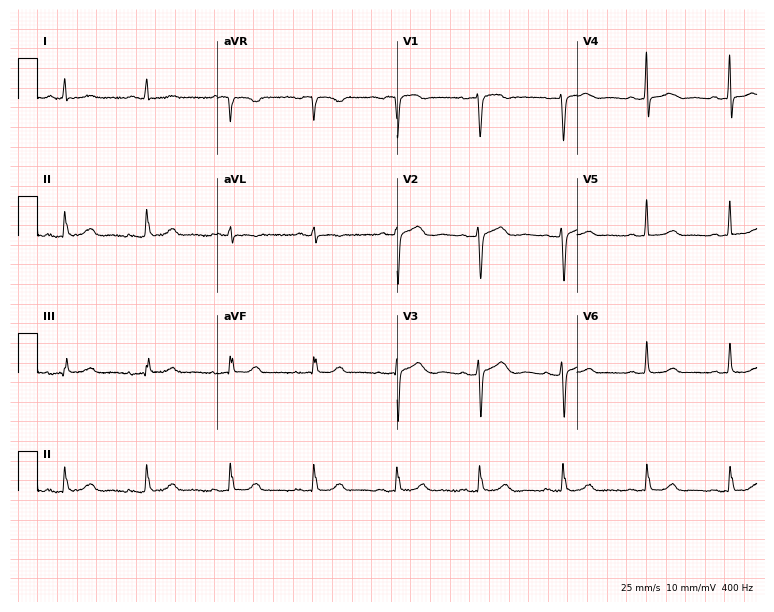
Standard 12-lead ECG recorded from a female patient, 74 years old. Read as a normal ECG.